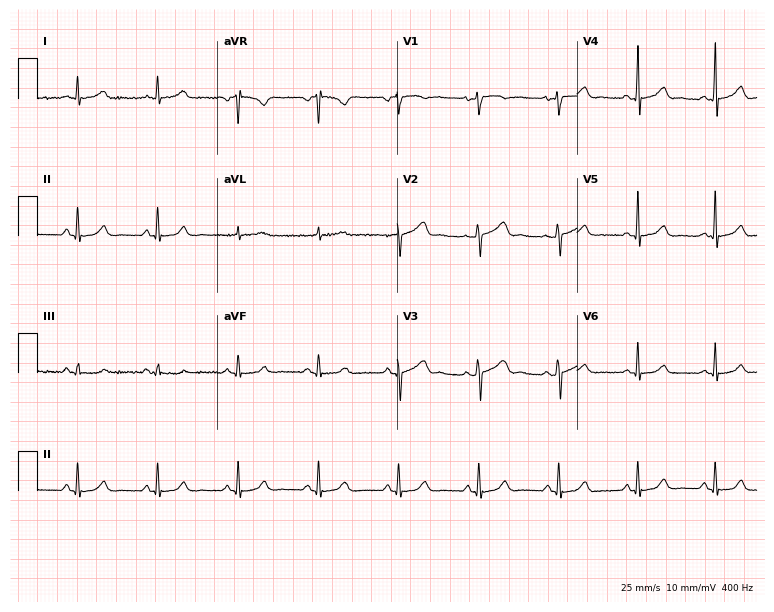
ECG — a female patient, 53 years old. Labelled as a normal ECG.